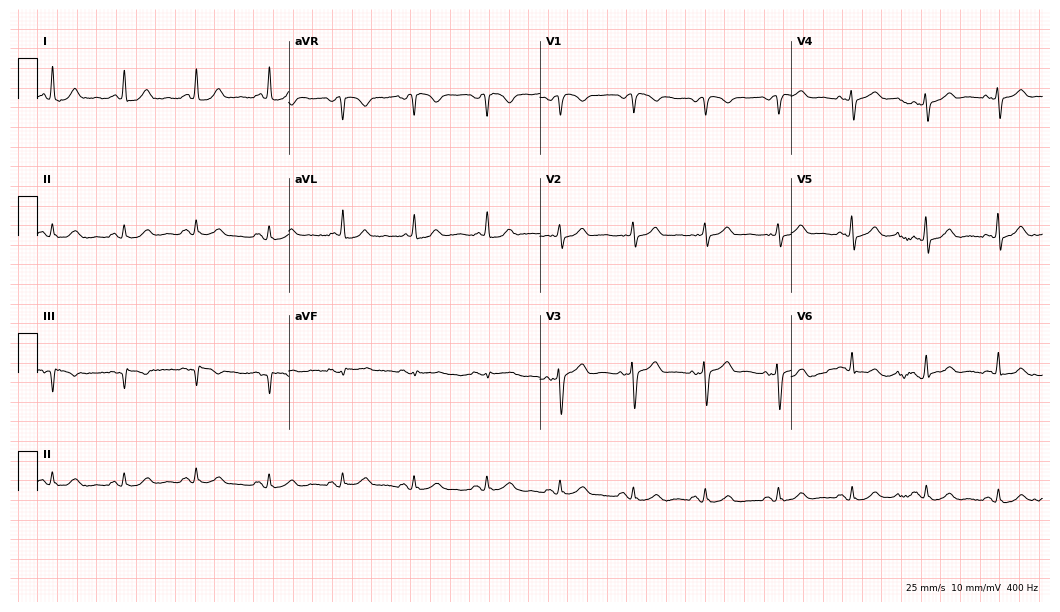
12-lead ECG from a 72-year-old female patient. Screened for six findings — first-degree AV block, right bundle branch block, left bundle branch block, sinus bradycardia, atrial fibrillation, sinus tachycardia — none is recorded.